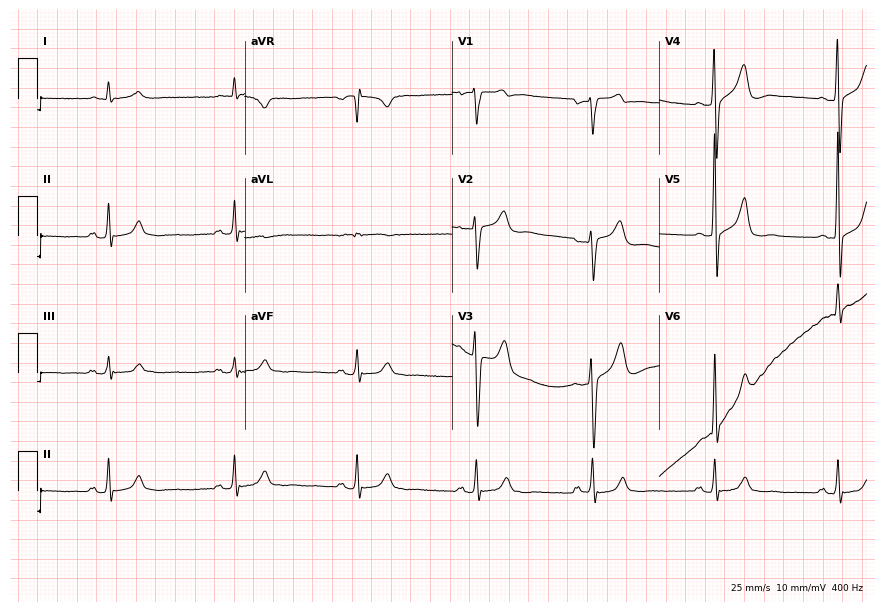
12-lead ECG from a 57-year-old man. Screened for six findings — first-degree AV block, right bundle branch block, left bundle branch block, sinus bradycardia, atrial fibrillation, sinus tachycardia — none is recorded. Other findings, if any, are not listed.